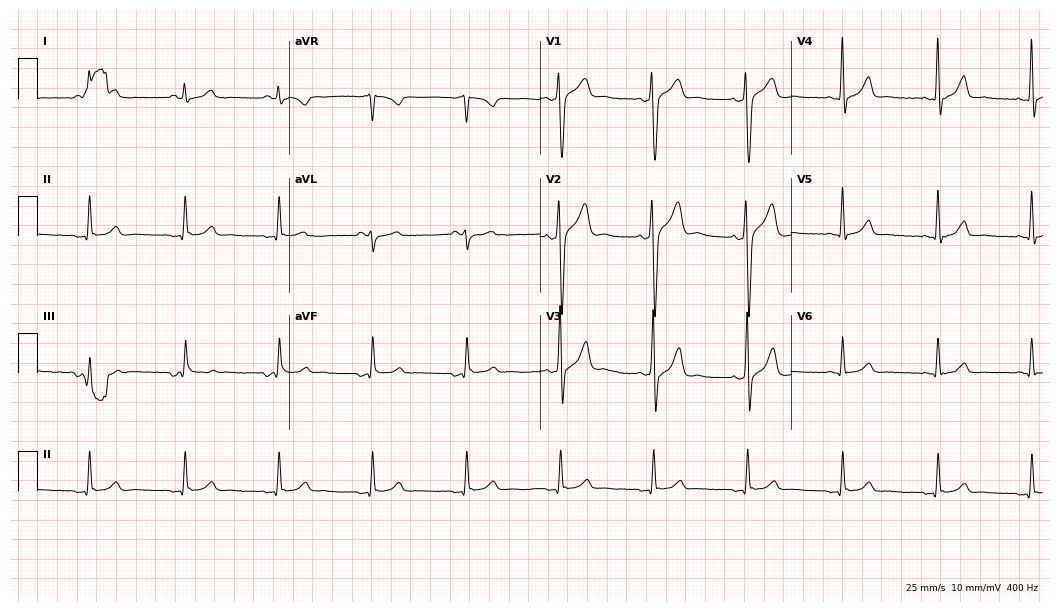
ECG (10.2-second recording at 400 Hz) — a 35-year-old male patient. Screened for six findings — first-degree AV block, right bundle branch block, left bundle branch block, sinus bradycardia, atrial fibrillation, sinus tachycardia — none is recorded.